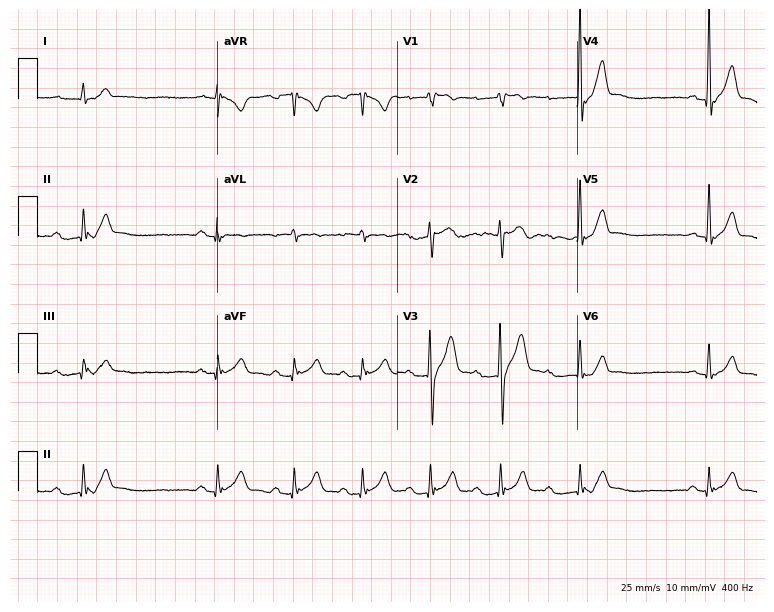
ECG — a male patient, 18 years old. Screened for six findings — first-degree AV block, right bundle branch block, left bundle branch block, sinus bradycardia, atrial fibrillation, sinus tachycardia — none is recorded. Findings outside these six are not listed.